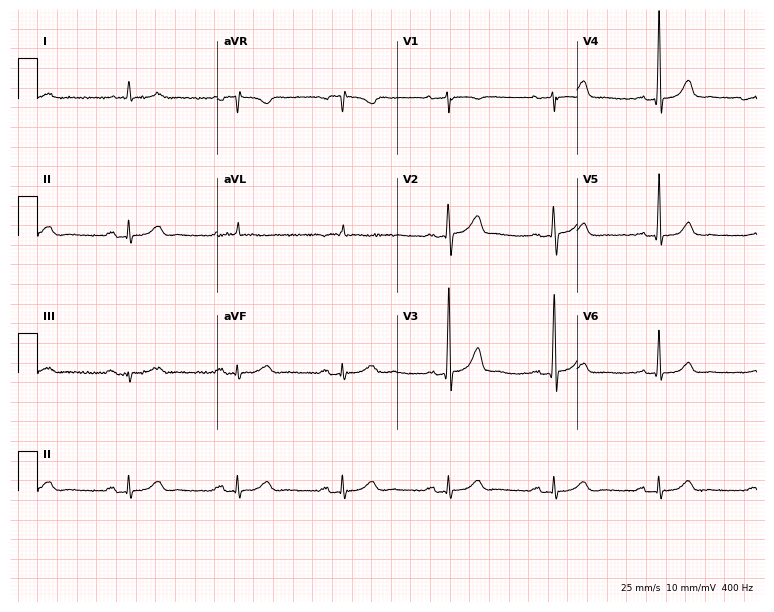
ECG — a 78-year-old male. Labelled as a normal ECG.